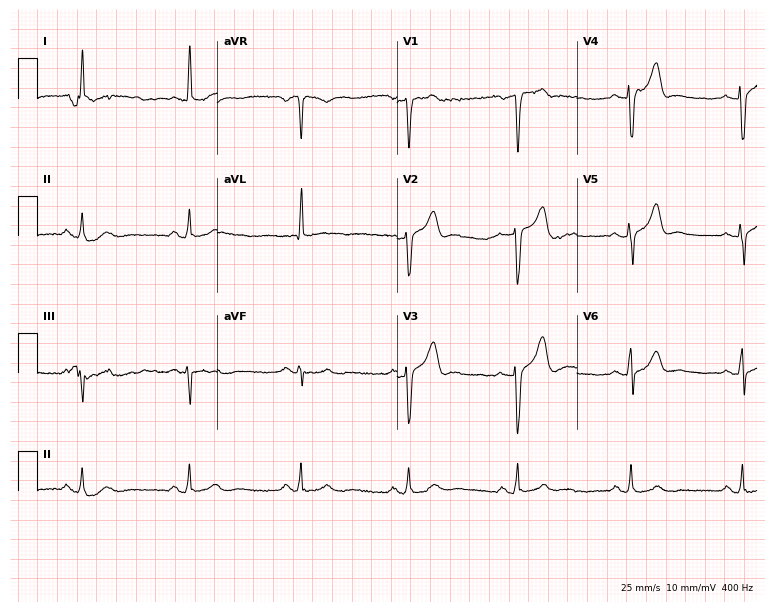
Resting 12-lead electrocardiogram. Patient: a male, 62 years old. None of these six findings is recorded: first-degree AV block, right bundle branch block, left bundle branch block, sinus bradycardia, atrial fibrillation, sinus tachycardia. Other findings, if any, are not listed.